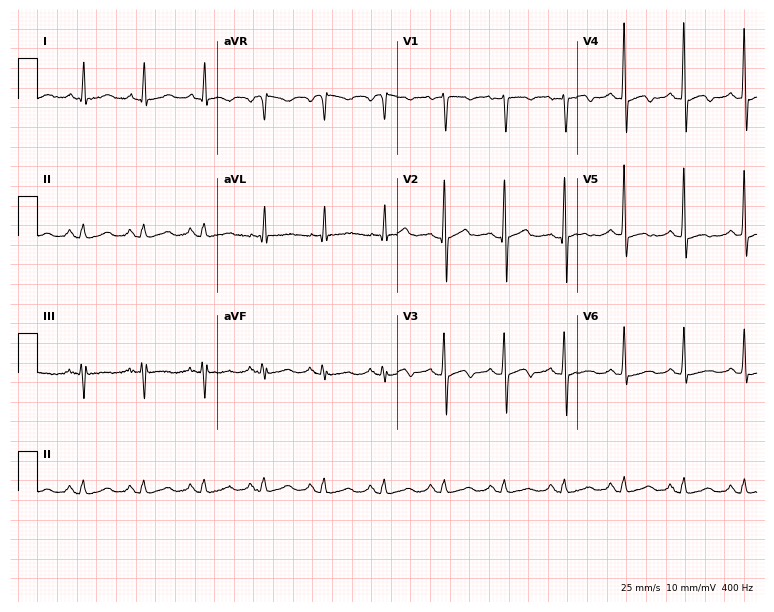
Electrocardiogram, a 50-year-old woman. Overall reading on record: normal ECG.